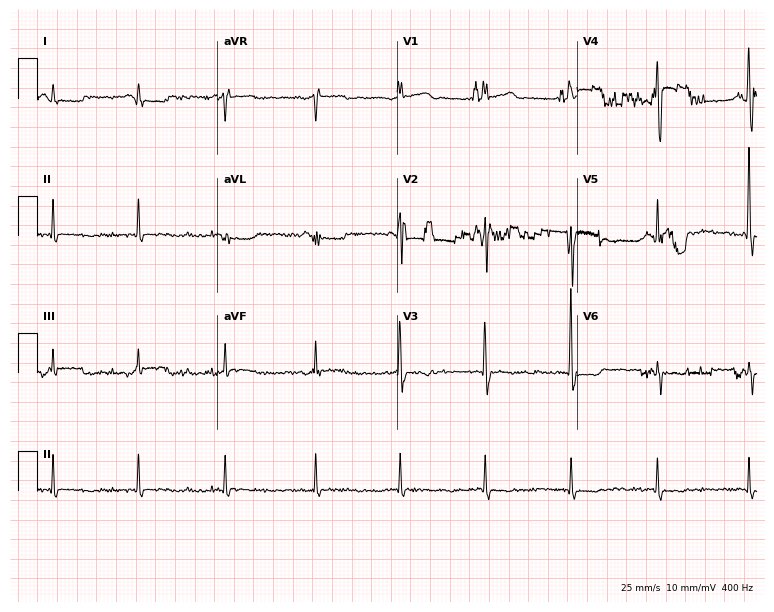
12-lead ECG from a 69-year-old male patient (7.3-second recording at 400 Hz). No first-degree AV block, right bundle branch block, left bundle branch block, sinus bradycardia, atrial fibrillation or sinus tachycardia recorded for this tracing. Findings outside these six are not listed.